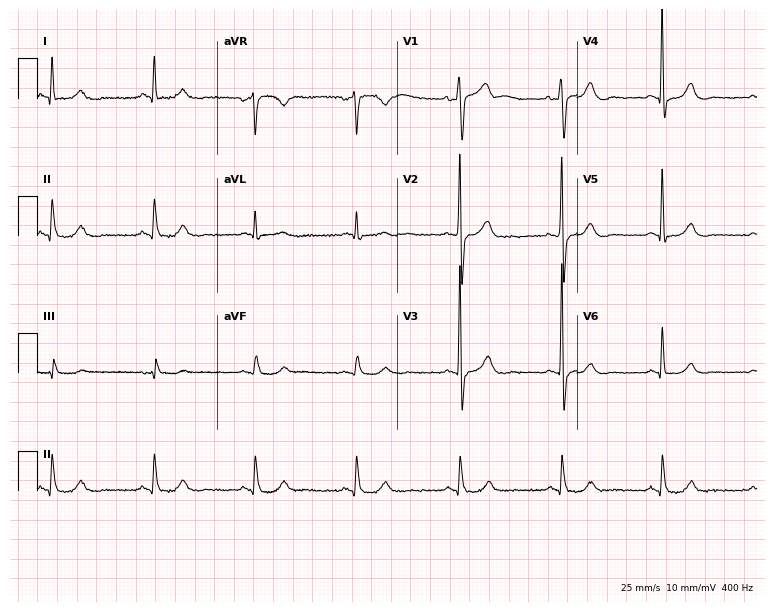
Resting 12-lead electrocardiogram. Patient: a 65-year-old man. None of these six findings is recorded: first-degree AV block, right bundle branch block (RBBB), left bundle branch block (LBBB), sinus bradycardia, atrial fibrillation (AF), sinus tachycardia. Other findings, if any, are not listed.